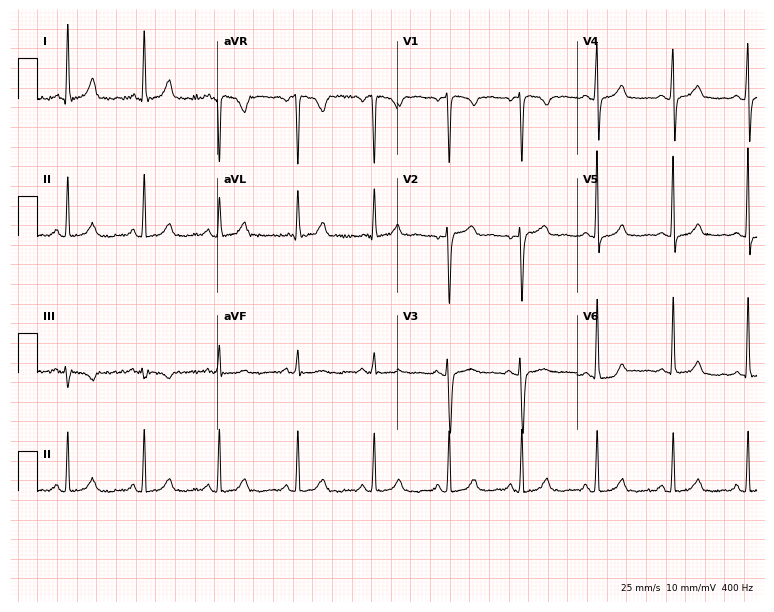
12-lead ECG (7.3-second recording at 400 Hz) from a woman, 47 years old. Screened for six findings — first-degree AV block, right bundle branch block, left bundle branch block, sinus bradycardia, atrial fibrillation, sinus tachycardia — none is recorded. Only these six findings were labelled.